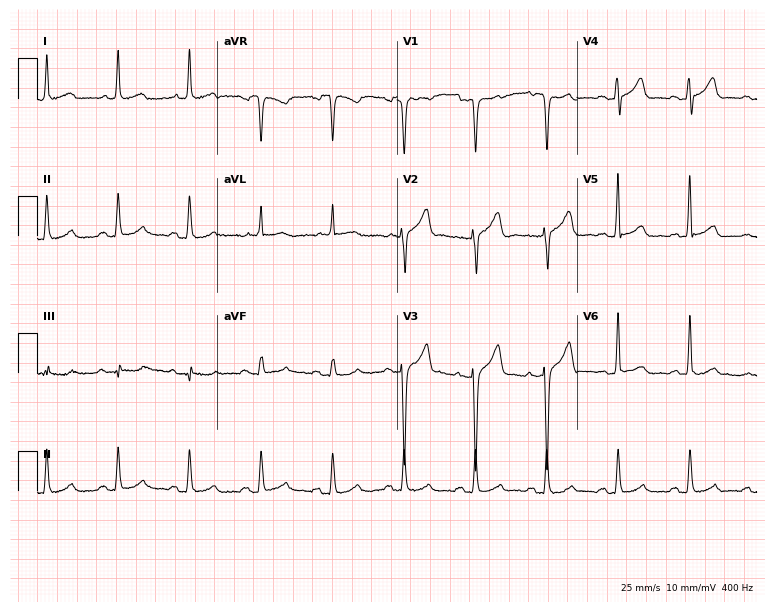
12-lead ECG (7.3-second recording at 400 Hz) from a 60-year-old man. Screened for six findings — first-degree AV block, right bundle branch block (RBBB), left bundle branch block (LBBB), sinus bradycardia, atrial fibrillation (AF), sinus tachycardia — none is recorded.